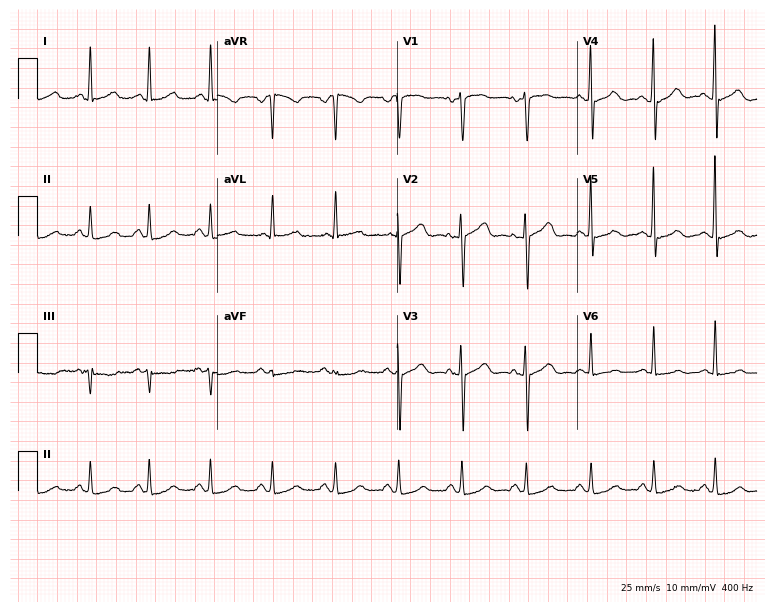
Resting 12-lead electrocardiogram (7.3-second recording at 400 Hz). Patient: a 62-year-old female. Read as a normal ECG.